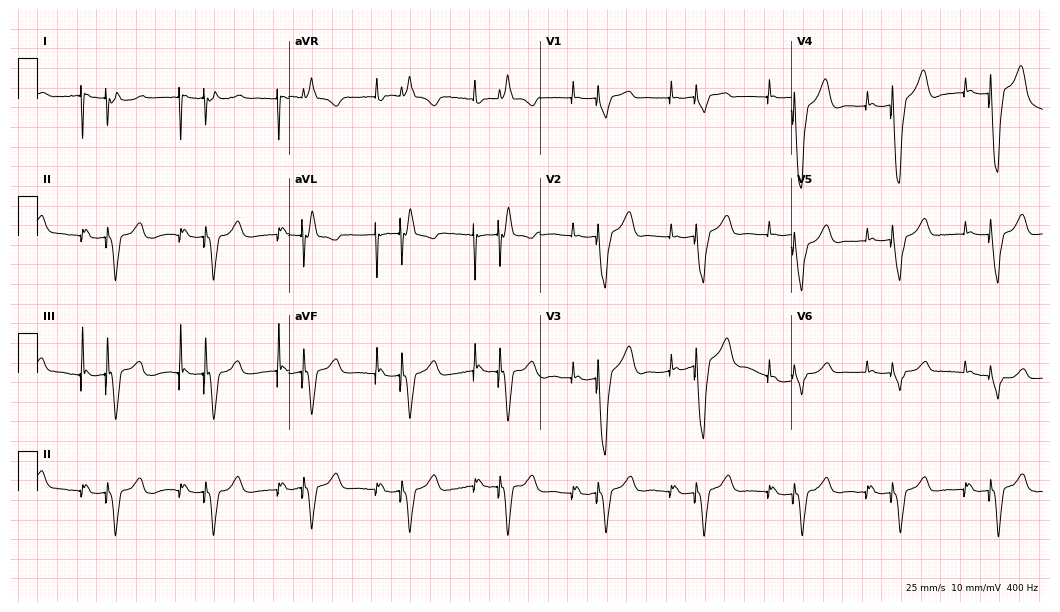
12-lead ECG from a woman, 72 years old. Screened for six findings — first-degree AV block, right bundle branch block, left bundle branch block, sinus bradycardia, atrial fibrillation, sinus tachycardia — none is recorded. Only these six findings were labelled.